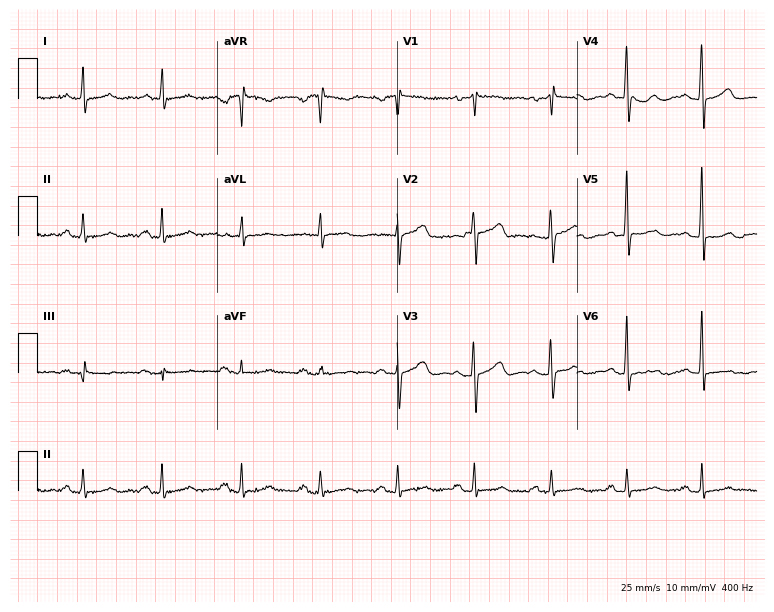
Standard 12-lead ECG recorded from a female patient, 64 years old. Read as a normal ECG.